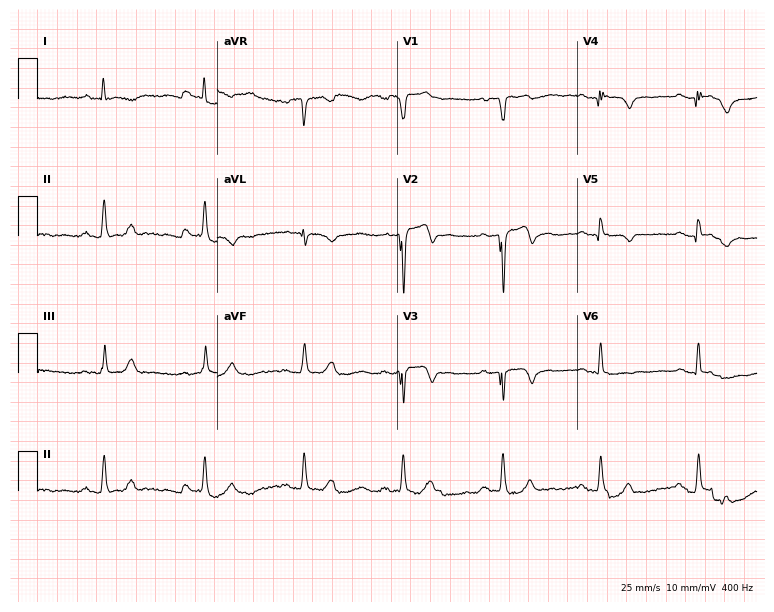
Electrocardiogram (7.3-second recording at 400 Hz), a 70-year-old male patient. Of the six screened findings (first-degree AV block, right bundle branch block (RBBB), left bundle branch block (LBBB), sinus bradycardia, atrial fibrillation (AF), sinus tachycardia), none is recorded.